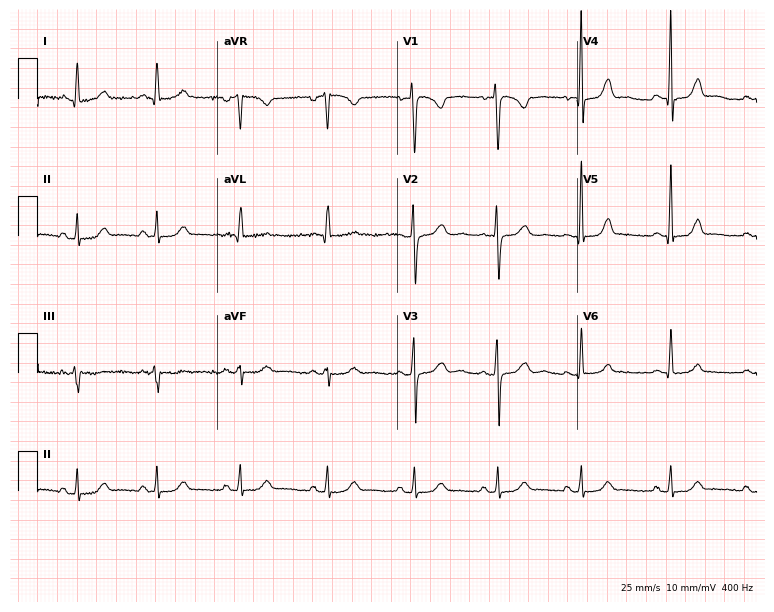
12-lead ECG from a 38-year-old female. Labelled as a normal ECG.